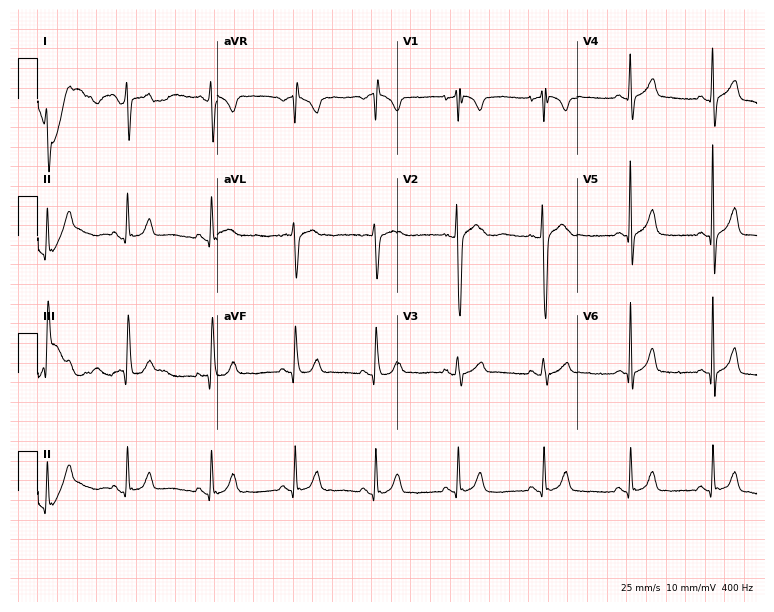
ECG — a man, 18 years old. Screened for six findings — first-degree AV block, right bundle branch block, left bundle branch block, sinus bradycardia, atrial fibrillation, sinus tachycardia — none is recorded. Findings outside these six are not listed.